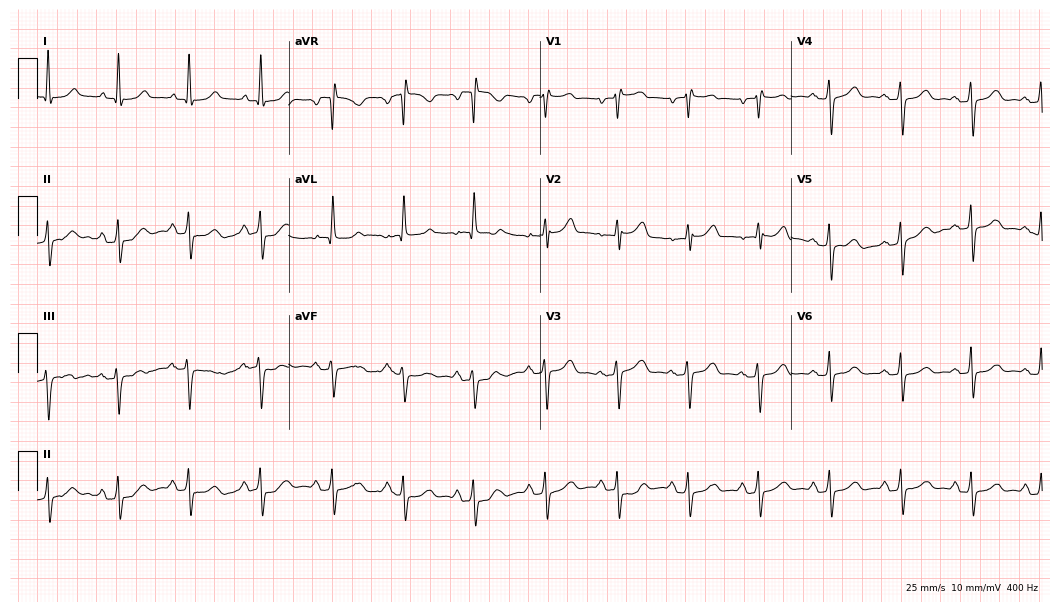
Resting 12-lead electrocardiogram (10.2-second recording at 400 Hz). Patient: a 60-year-old woman. None of these six findings is recorded: first-degree AV block, right bundle branch block, left bundle branch block, sinus bradycardia, atrial fibrillation, sinus tachycardia. Findings outside these six are not listed.